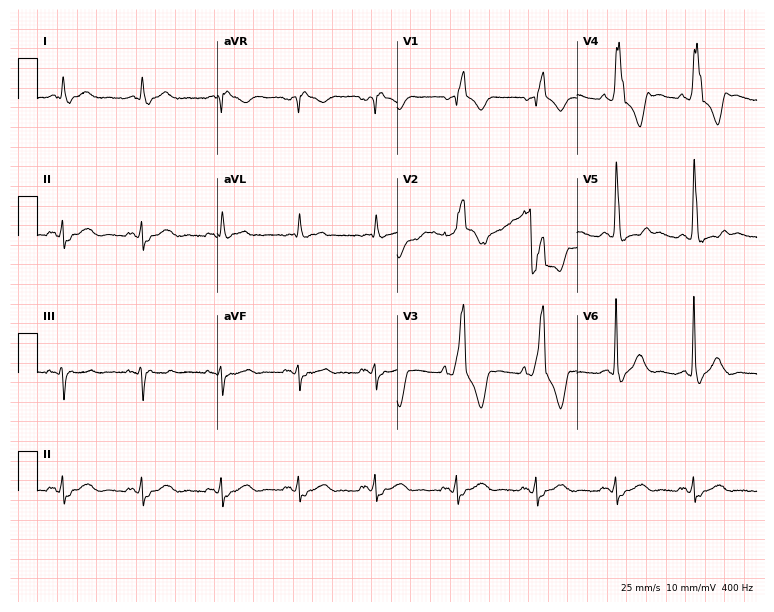
Standard 12-lead ECG recorded from an 81-year-old male patient. The tracing shows right bundle branch block.